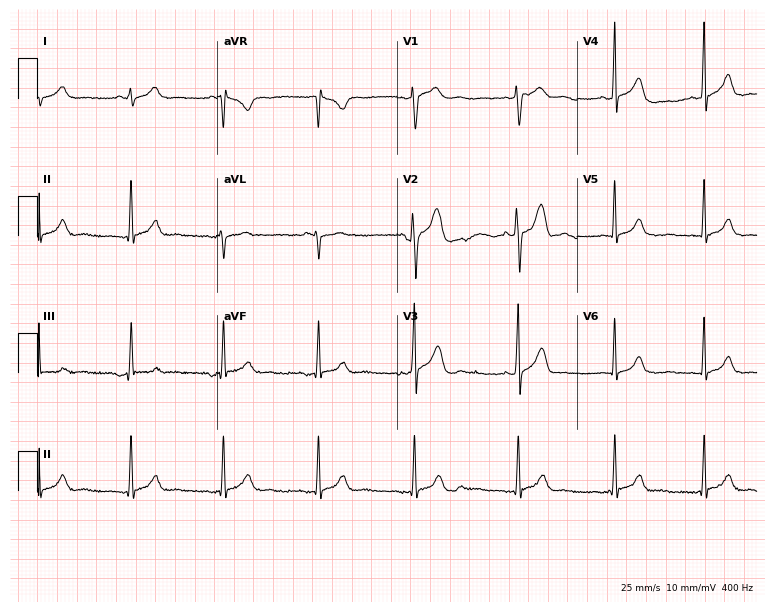
Electrocardiogram, a man, 31 years old. Of the six screened findings (first-degree AV block, right bundle branch block, left bundle branch block, sinus bradycardia, atrial fibrillation, sinus tachycardia), none is recorded. Findings outside these six are not listed.